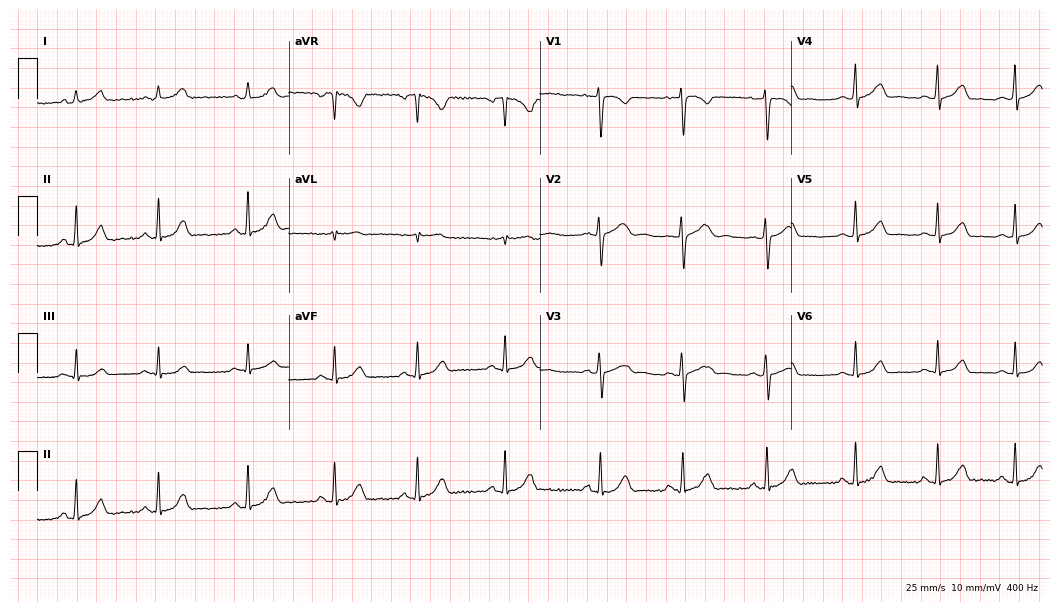
Standard 12-lead ECG recorded from a 24-year-old female patient (10.2-second recording at 400 Hz). Read as a normal ECG.